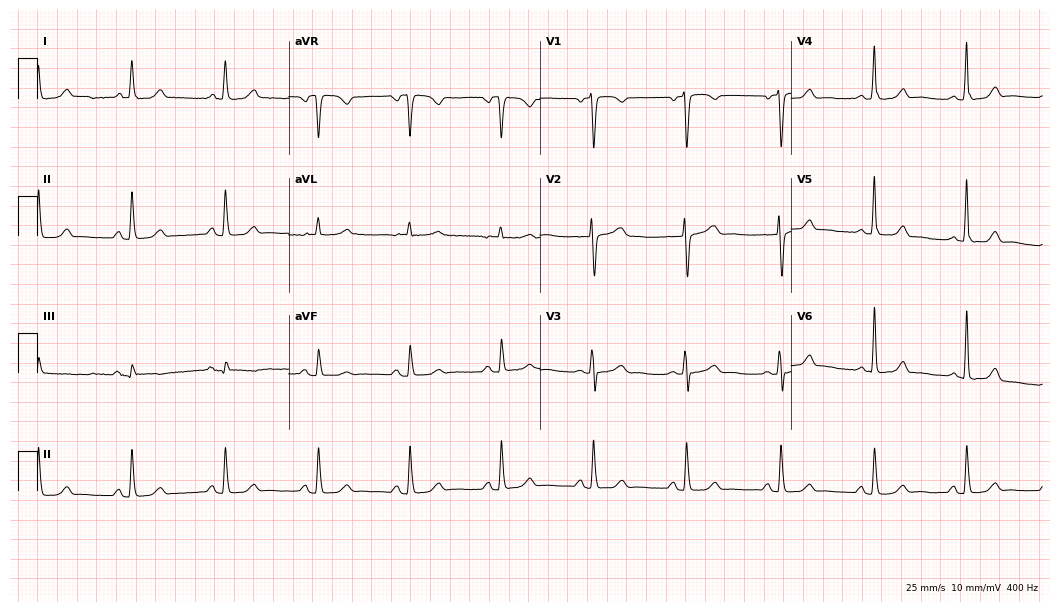
Standard 12-lead ECG recorded from a female, 35 years old (10.2-second recording at 400 Hz). Read as a normal ECG.